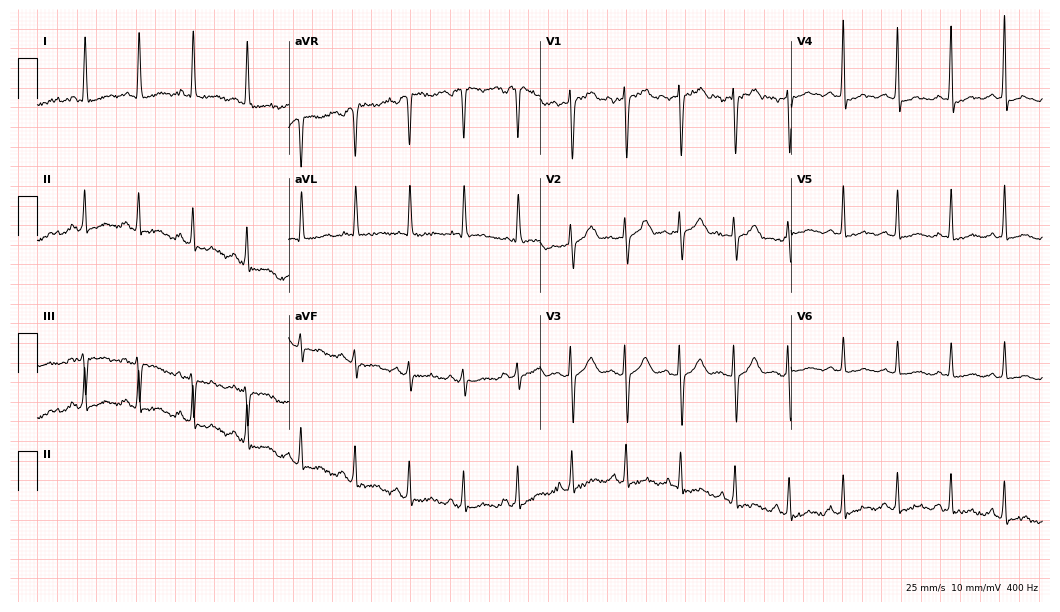
Electrocardiogram (10.2-second recording at 400 Hz), a 60-year-old female patient. Of the six screened findings (first-degree AV block, right bundle branch block (RBBB), left bundle branch block (LBBB), sinus bradycardia, atrial fibrillation (AF), sinus tachycardia), none is recorded.